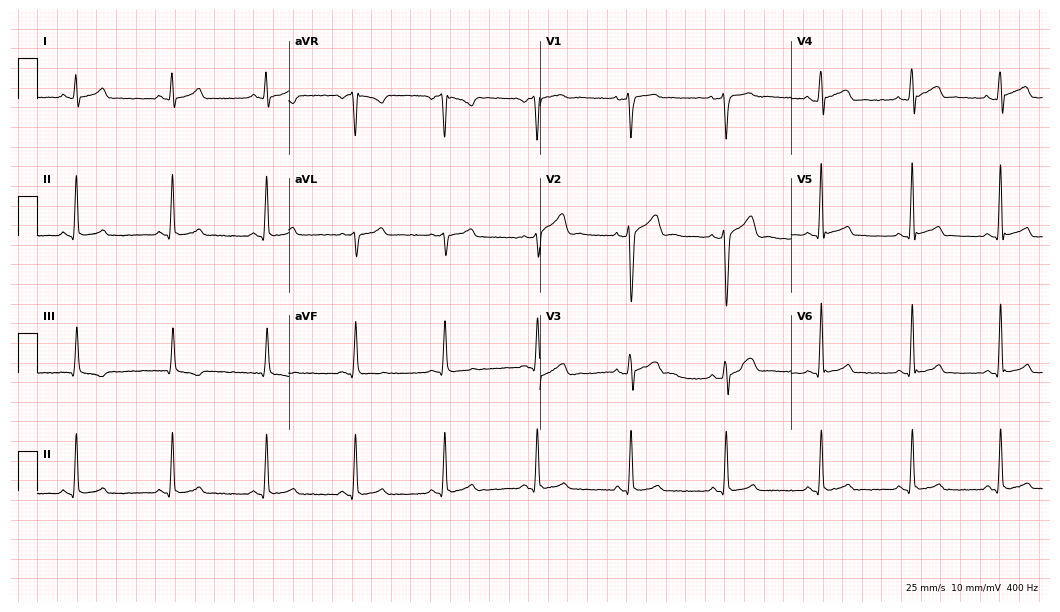
ECG — a 28-year-old man. Labelled as a normal ECG.